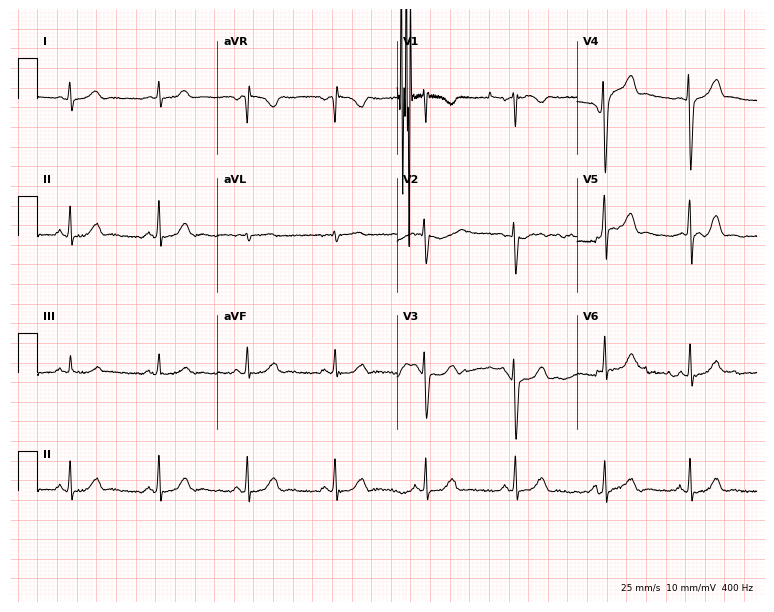
12-lead ECG from a 20-year-old female patient. Labelled as a normal ECG.